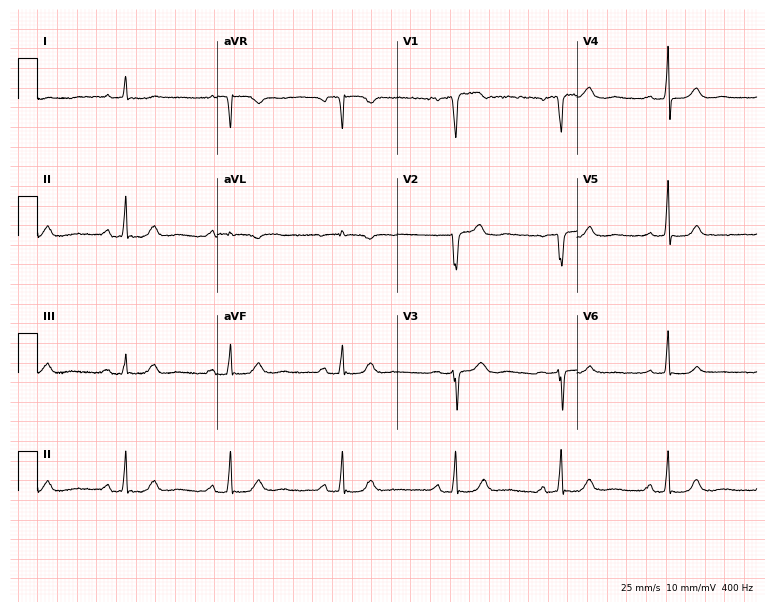
Resting 12-lead electrocardiogram. Patient: a 63-year-old female. Read as a normal ECG.